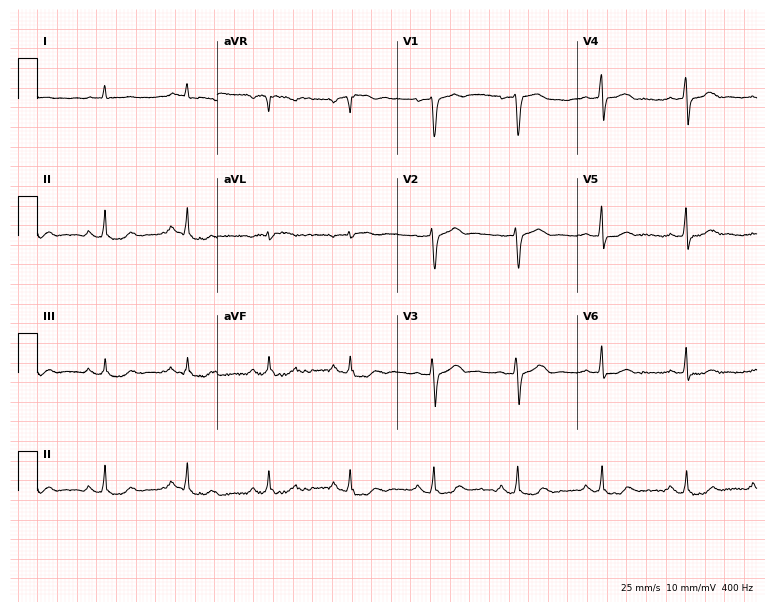
Resting 12-lead electrocardiogram. Patient: a 65-year-old male. None of these six findings is recorded: first-degree AV block, right bundle branch block (RBBB), left bundle branch block (LBBB), sinus bradycardia, atrial fibrillation (AF), sinus tachycardia. Findings outside these six are not listed.